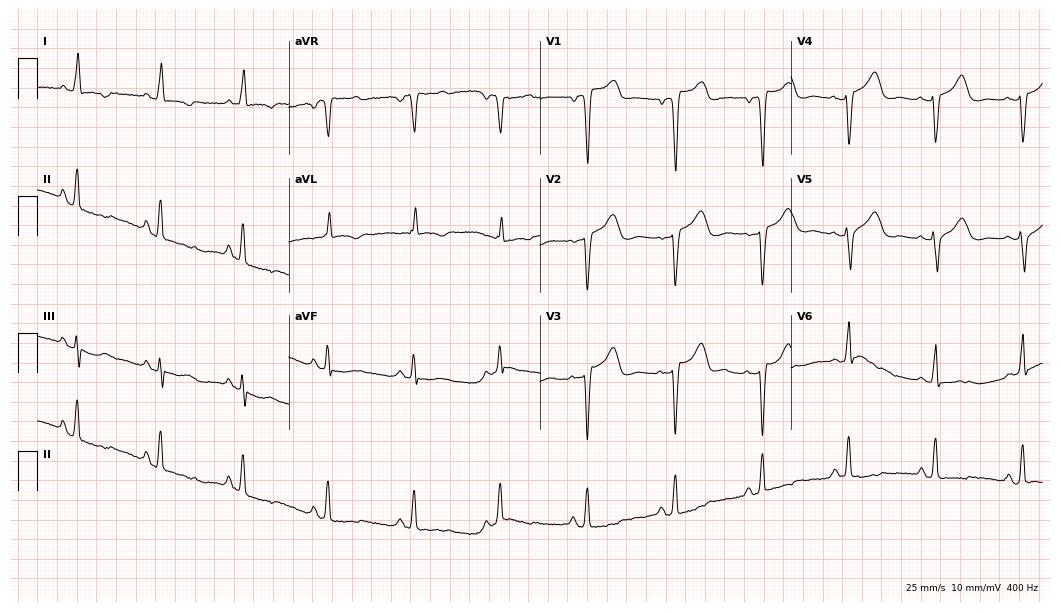
12-lead ECG from a 78-year-old female patient. No first-degree AV block, right bundle branch block, left bundle branch block, sinus bradycardia, atrial fibrillation or sinus tachycardia recorded for this tracing. Findings outside these six are not listed.